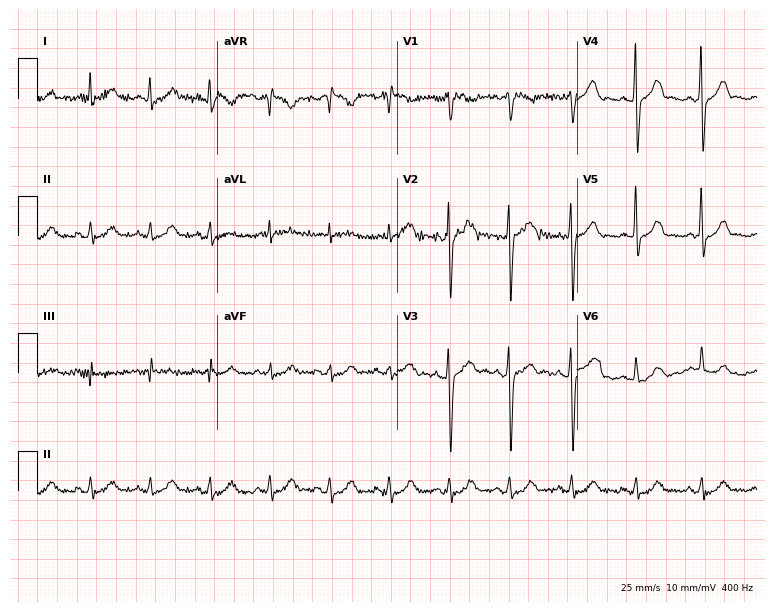
ECG (7.3-second recording at 400 Hz) — a 60-year-old male. Labelled as a normal ECG.